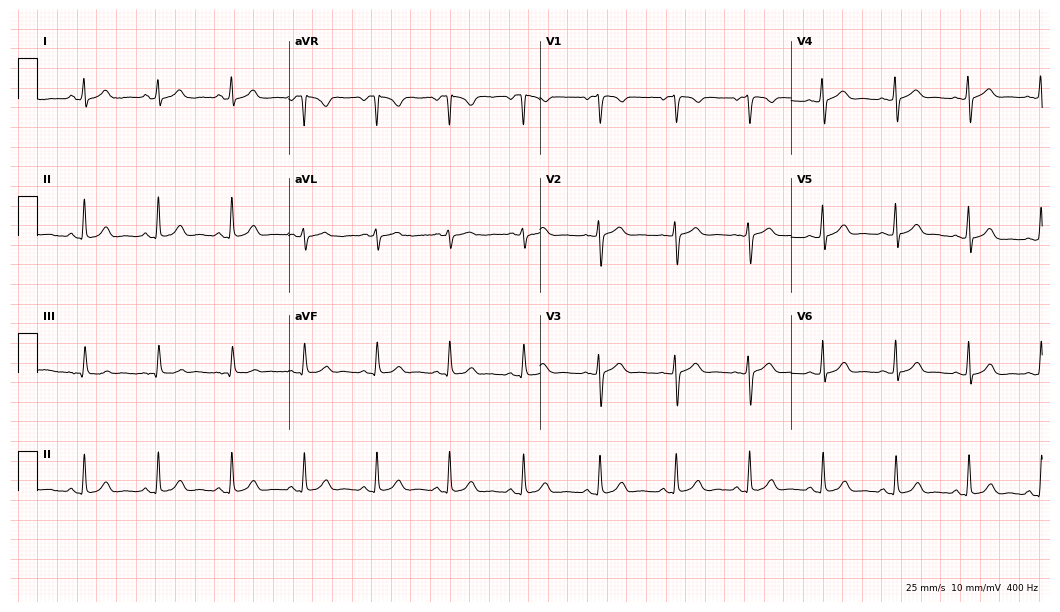
ECG (10.2-second recording at 400 Hz) — a woman, 25 years old. Labelled as a normal ECG.